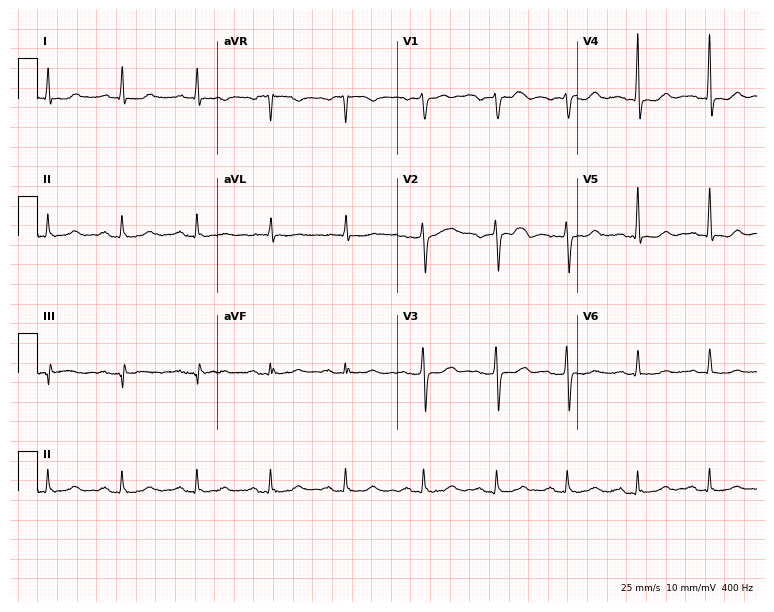
Standard 12-lead ECG recorded from a 70-year-old female. None of these six findings is recorded: first-degree AV block, right bundle branch block (RBBB), left bundle branch block (LBBB), sinus bradycardia, atrial fibrillation (AF), sinus tachycardia.